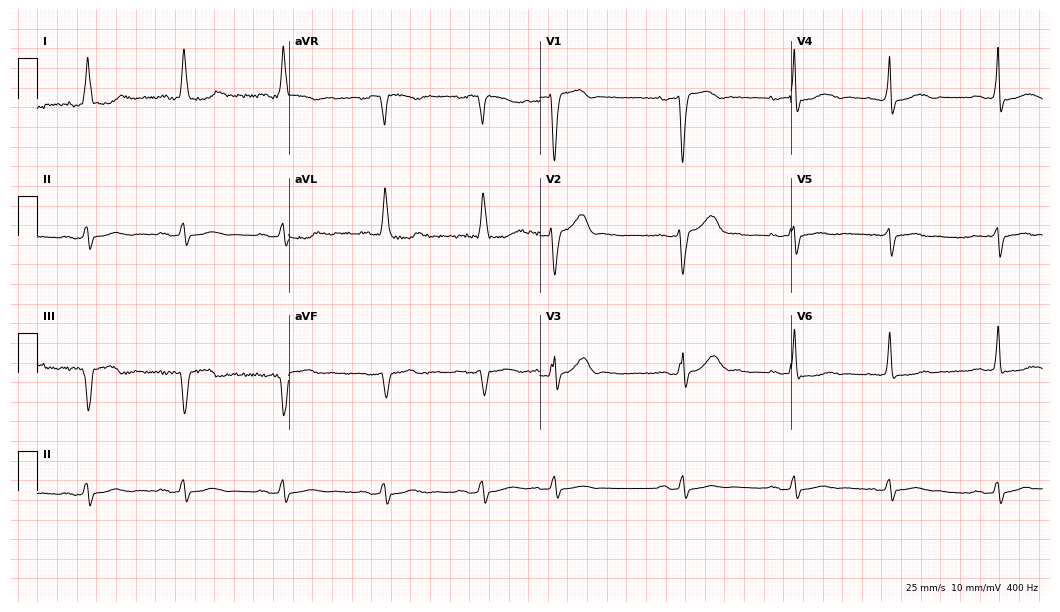
Standard 12-lead ECG recorded from a woman, 83 years old (10.2-second recording at 400 Hz). The tracing shows left bundle branch block.